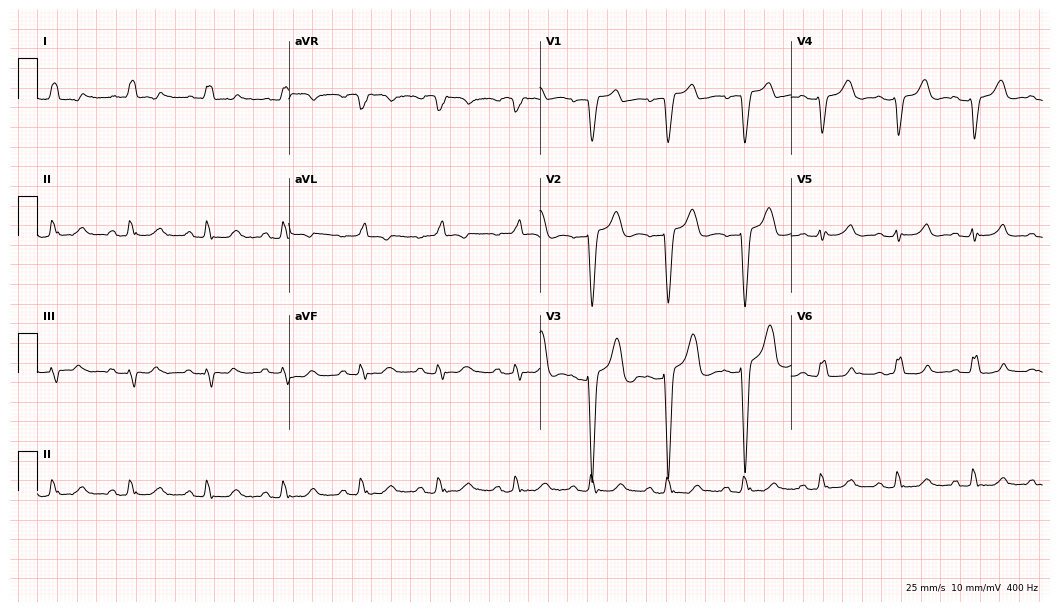
Standard 12-lead ECG recorded from a female patient, 74 years old. The tracing shows left bundle branch block.